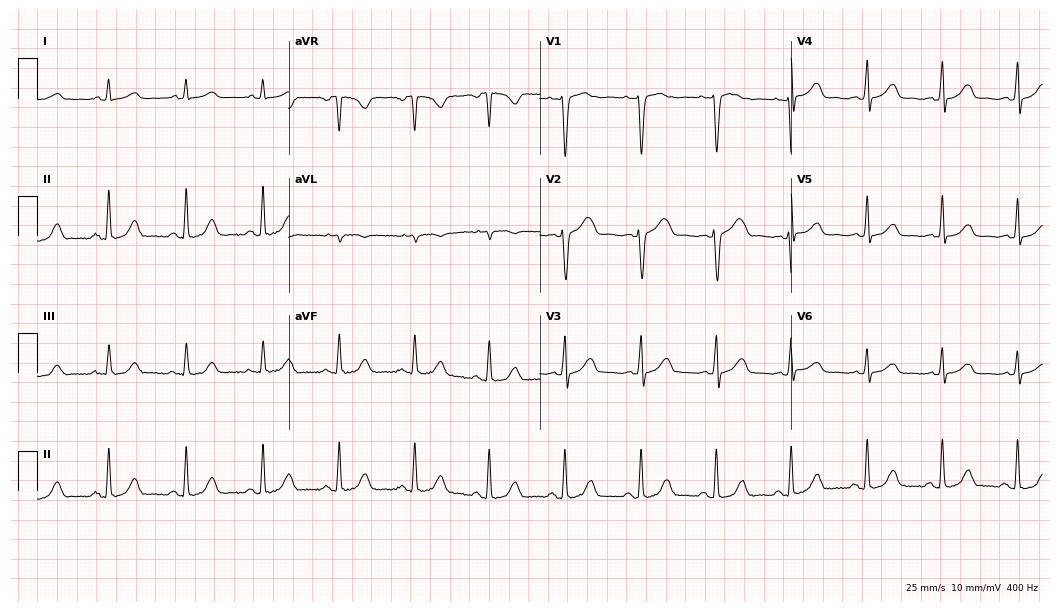
12-lead ECG (10.2-second recording at 400 Hz) from a female patient, 47 years old. Labelled as a normal ECG.